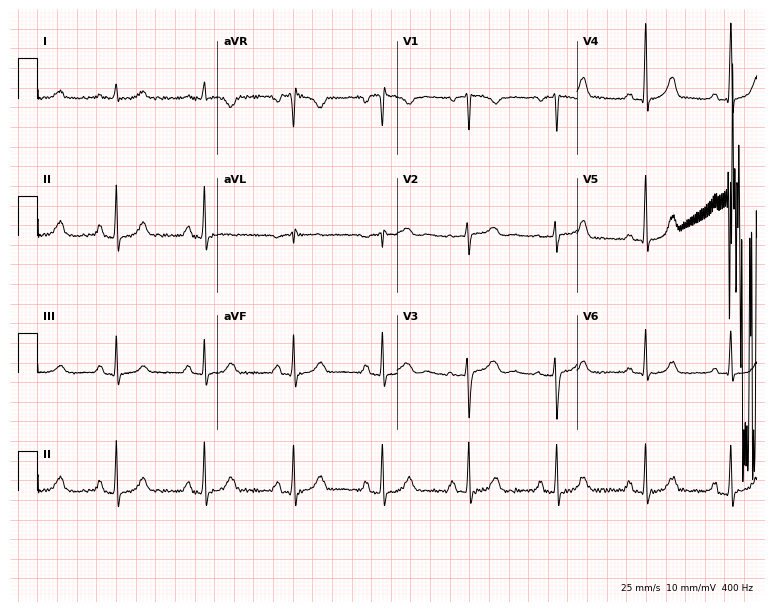
Resting 12-lead electrocardiogram (7.3-second recording at 400 Hz). Patient: a female, 28 years old. Read as a normal ECG.